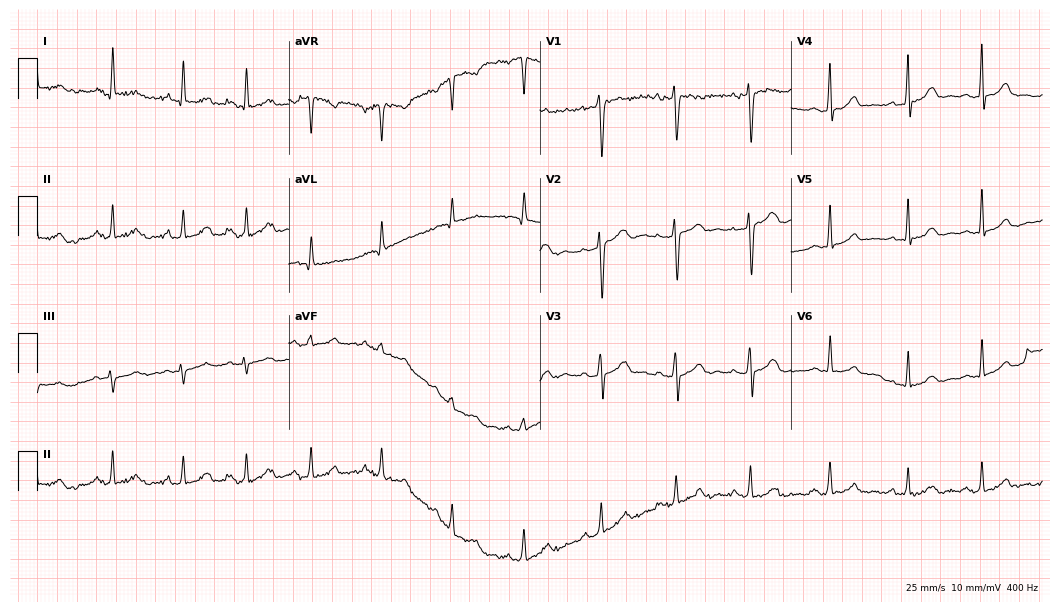
12-lead ECG from a 28-year-old female (10.2-second recording at 400 Hz). Recorded interpretation: within normal limits.